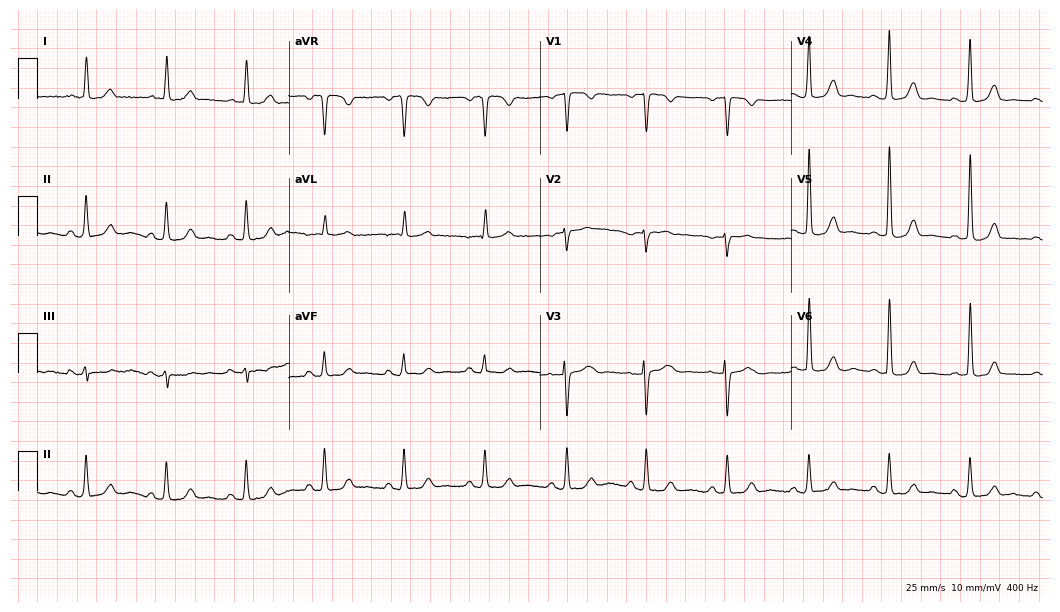
Standard 12-lead ECG recorded from a 66-year-old female patient. None of these six findings is recorded: first-degree AV block, right bundle branch block, left bundle branch block, sinus bradycardia, atrial fibrillation, sinus tachycardia.